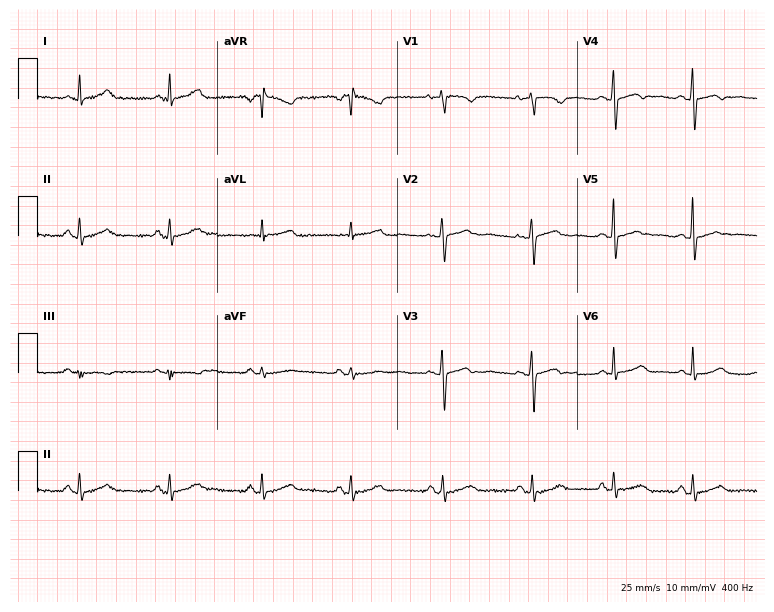
Standard 12-lead ECG recorded from a female patient, 32 years old. Read as a normal ECG.